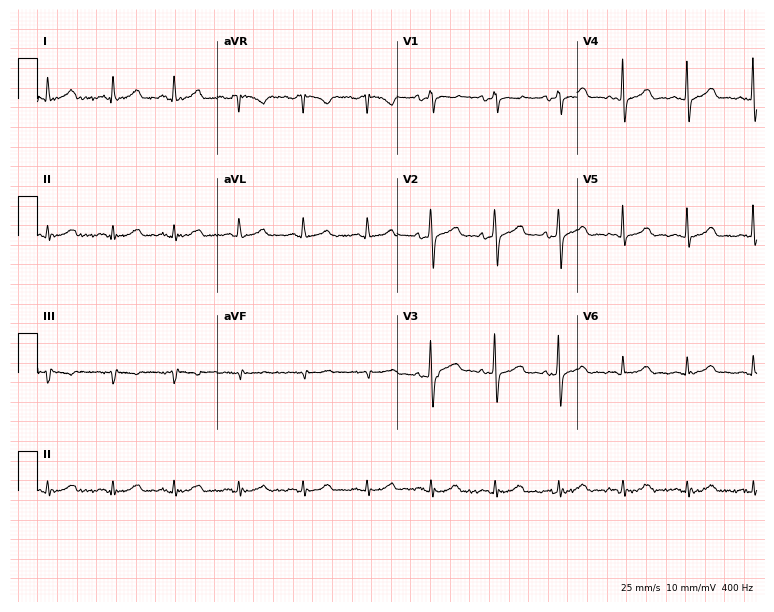
ECG (7.3-second recording at 400 Hz) — a male patient, 74 years old. Labelled as a normal ECG.